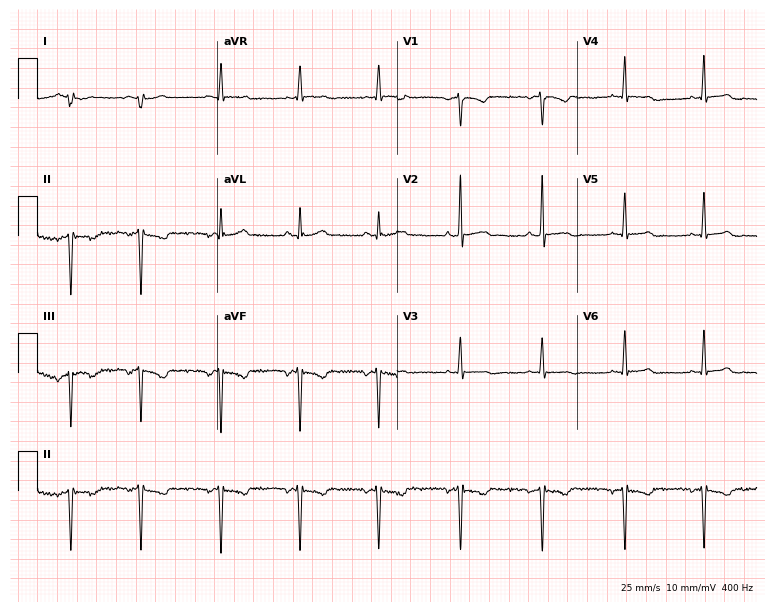
12-lead ECG from a female, 28 years old. Screened for six findings — first-degree AV block, right bundle branch block, left bundle branch block, sinus bradycardia, atrial fibrillation, sinus tachycardia — none is recorded.